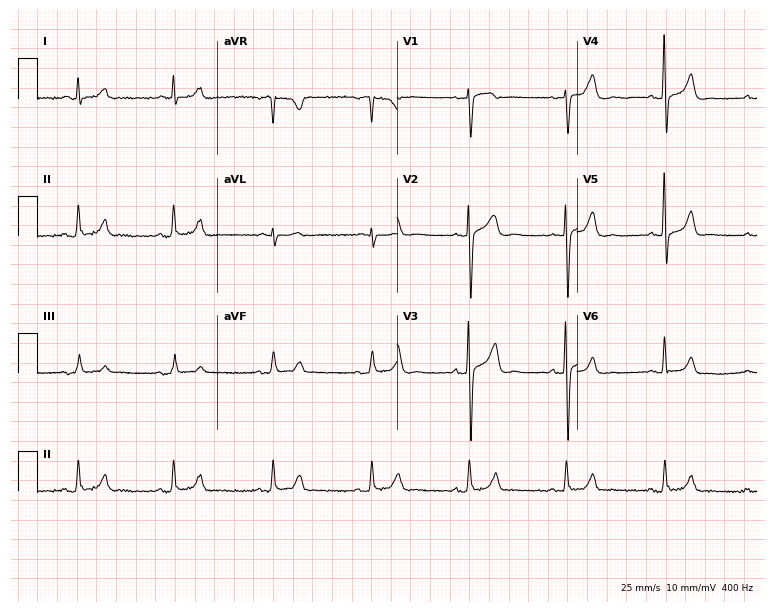
12-lead ECG from a man, 52 years old (7.3-second recording at 400 Hz). Recorded interpretation: within normal limits.